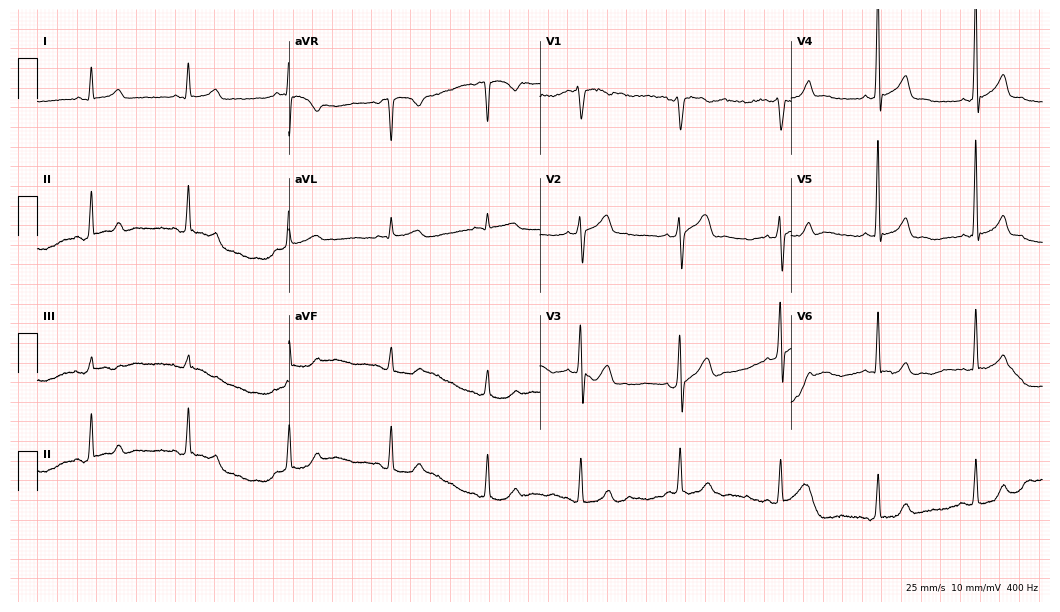
Resting 12-lead electrocardiogram (10.2-second recording at 400 Hz). Patient: a 53-year-old male. Read as a normal ECG.